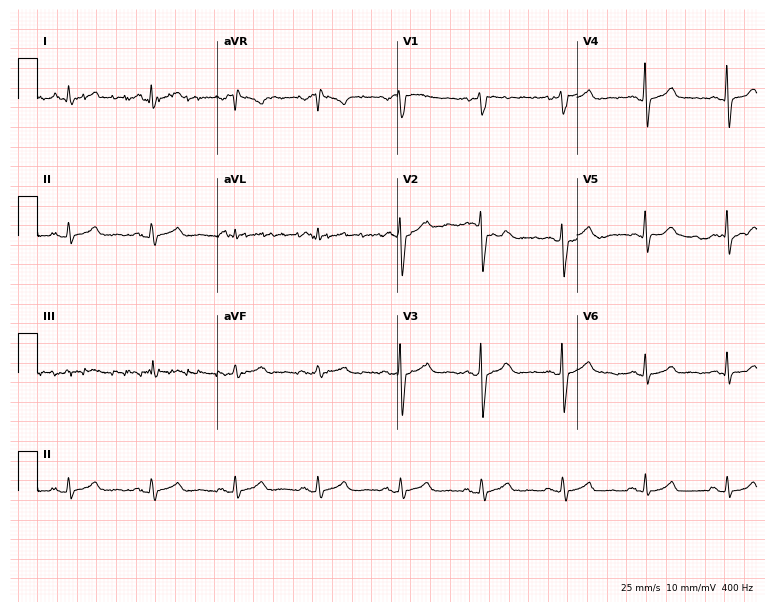
Resting 12-lead electrocardiogram. Patient: a female, 67 years old. Read as a normal ECG.